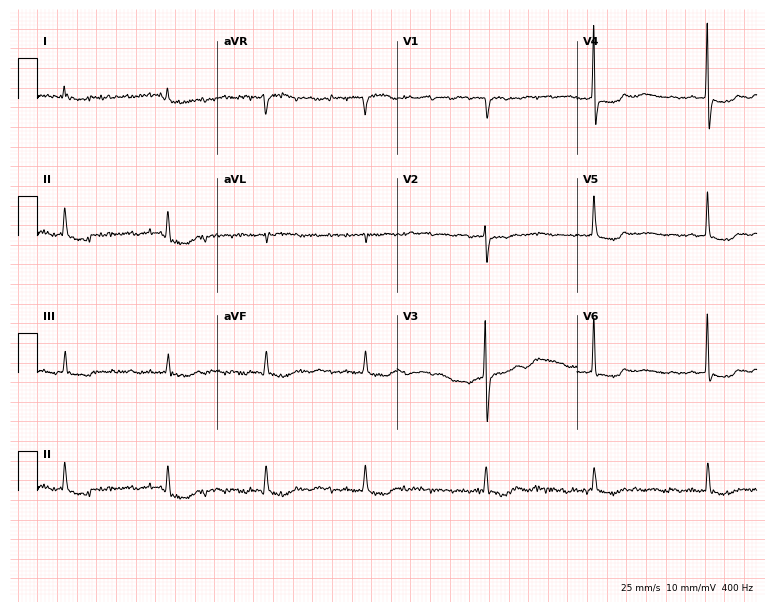
Electrocardiogram, a 76-year-old woman. Of the six screened findings (first-degree AV block, right bundle branch block, left bundle branch block, sinus bradycardia, atrial fibrillation, sinus tachycardia), none is recorded. Findings outside these six are not listed.